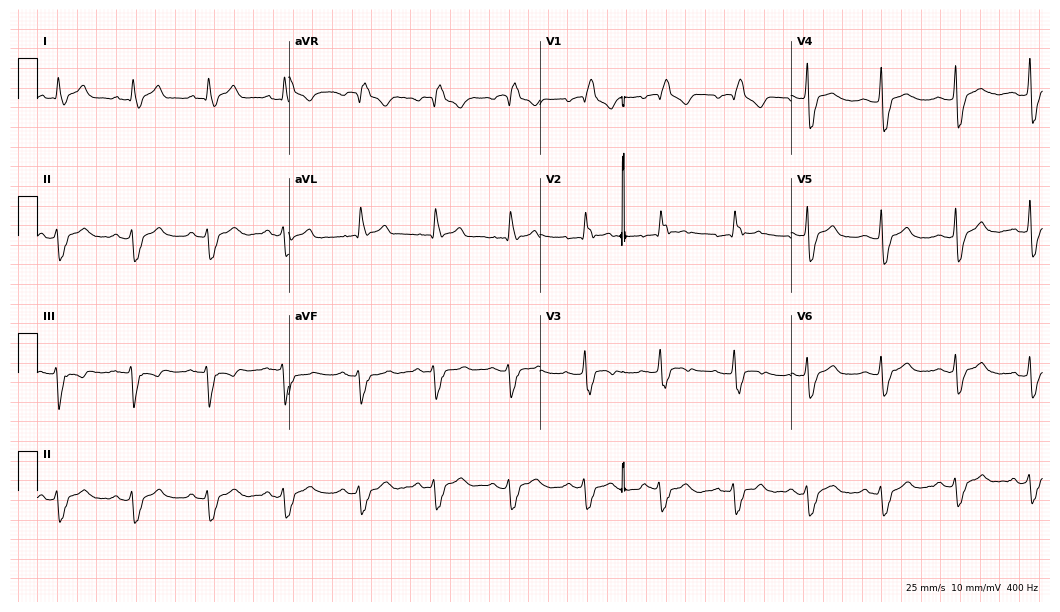
Resting 12-lead electrocardiogram. Patient: a 55-year-old male. The tracing shows right bundle branch block (RBBB).